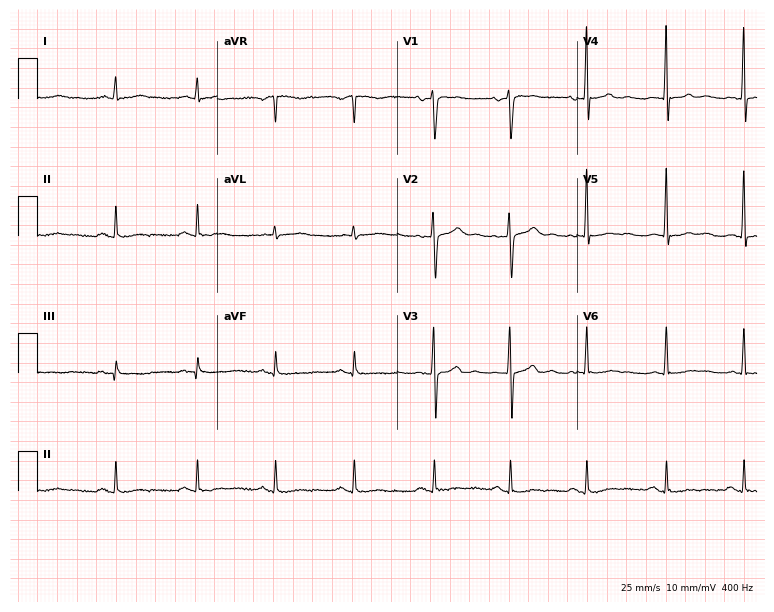
12-lead ECG from a 37-year-old male (7.3-second recording at 400 Hz). No first-degree AV block, right bundle branch block, left bundle branch block, sinus bradycardia, atrial fibrillation or sinus tachycardia recorded for this tracing.